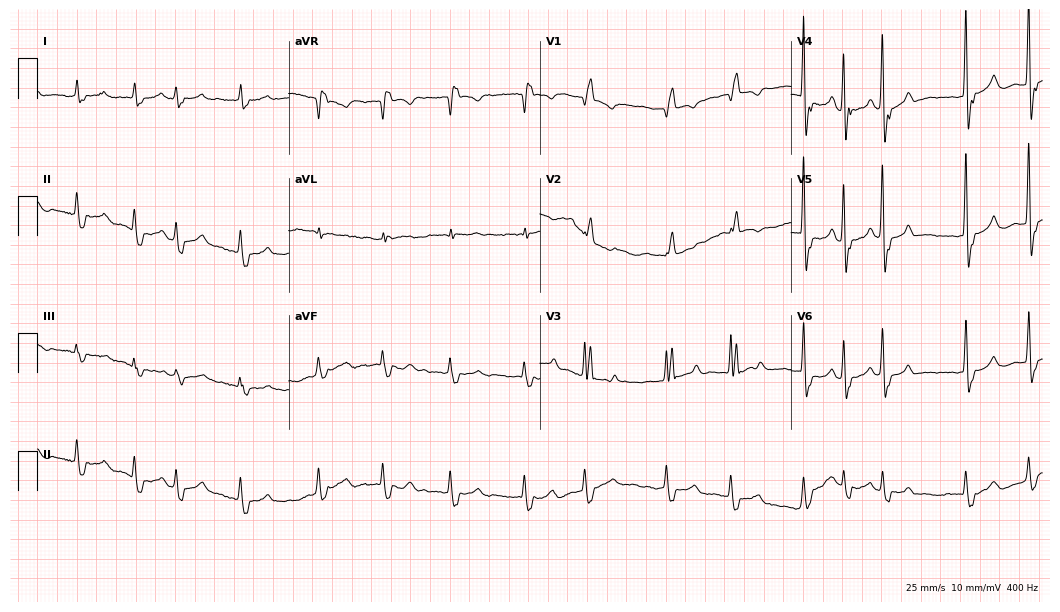
Standard 12-lead ECG recorded from a woman, 82 years old. None of these six findings is recorded: first-degree AV block, right bundle branch block, left bundle branch block, sinus bradycardia, atrial fibrillation, sinus tachycardia. Other findings, if any, are not listed.